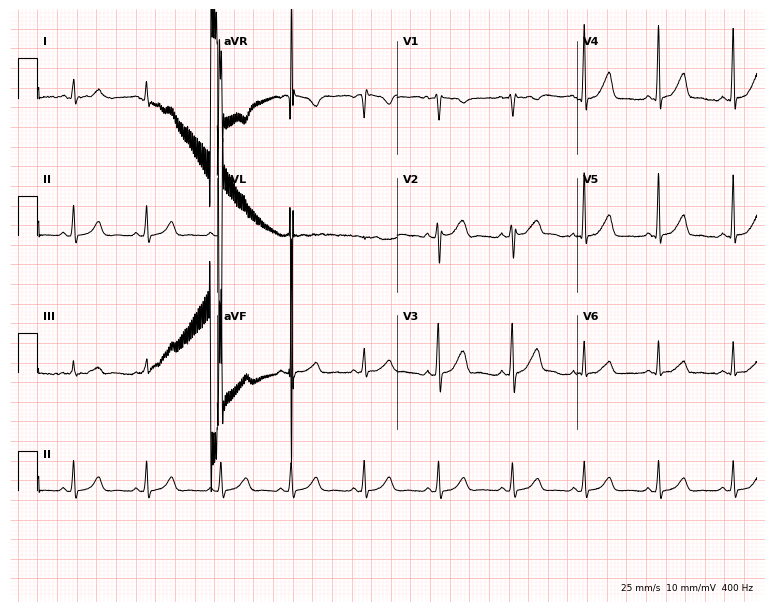
ECG — a female patient, 40 years old. Labelled as a normal ECG.